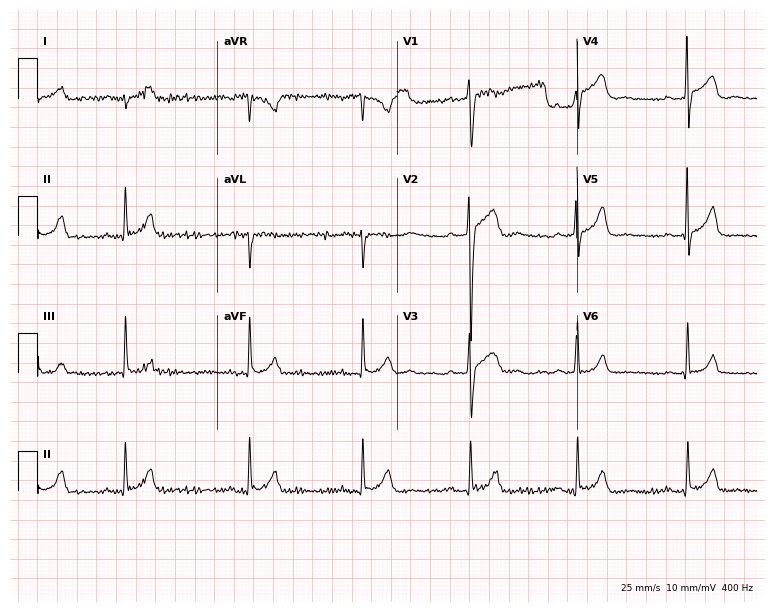
Standard 12-lead ECG recorded from a male patient, 23 years old. The tracing shows first-degree AV block.